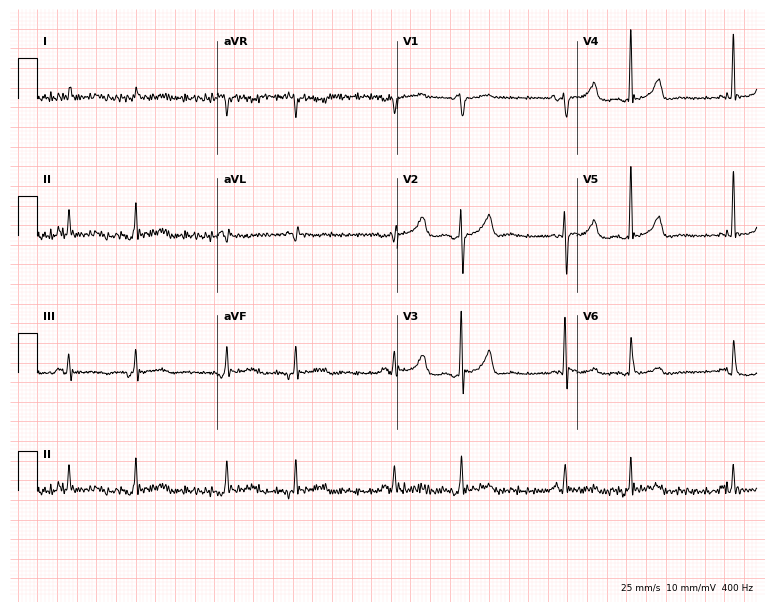
12-lead ECG from a female, 71 years old. No first-degree AV block, right bundle branch block, left bundle branch block, sinus bradycardia, atrial fibrillation or sinus tachycardia recorded for this tracing. Other findings, if any, are not listed.